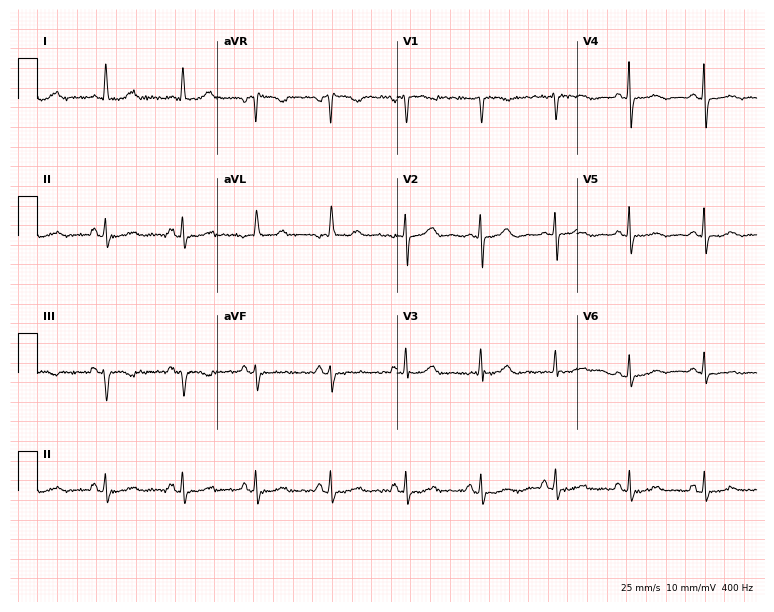
ECG (7.3-second recording at 400 Hz) — a woman, 70 years old. Screened for six findings — first-degree AV block, right bundle branch block, left bundle branch block, sinus bradycardia, atrial fibrillation, sinus tachycardia — none is recorded.